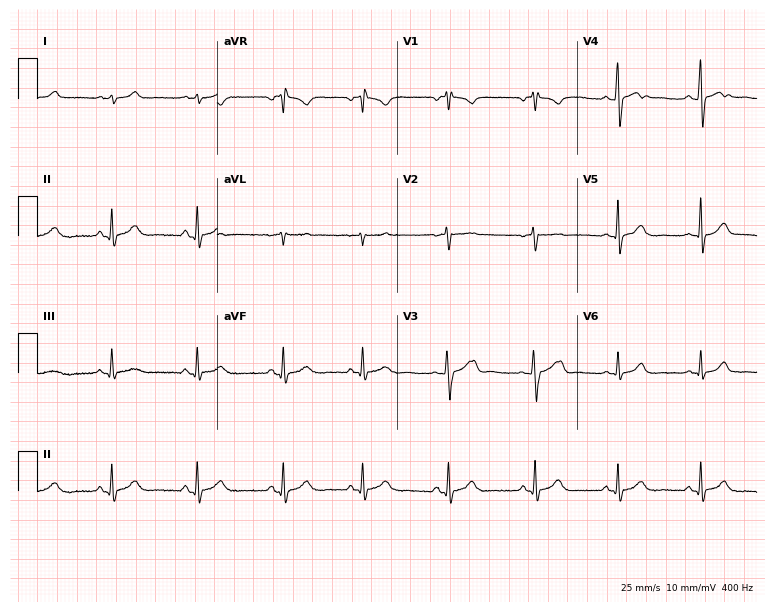
12-lead ECG from a 19-year-old male patient (7.3-second recording at 400 Hz). Recorded interpretation: within normal limits.